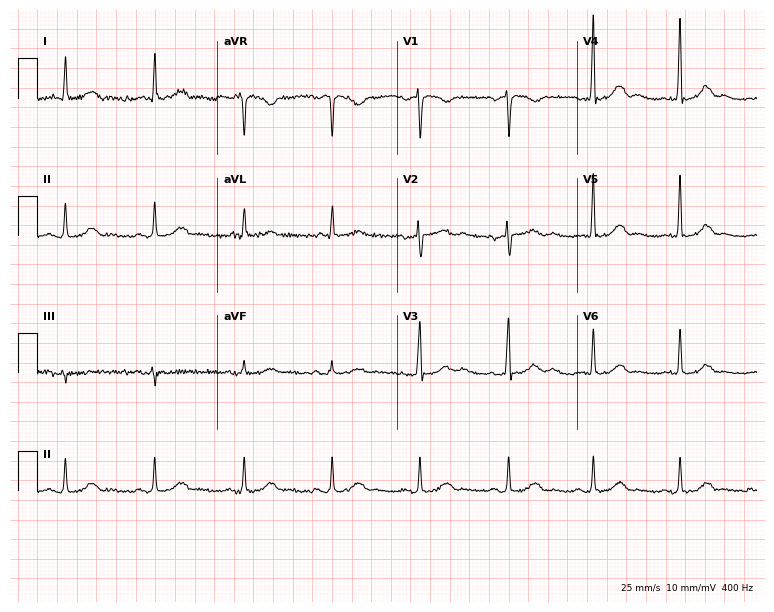
Standard 12-lead ECG recorded from a 64-year-old female patient. Read as a normal ECG.